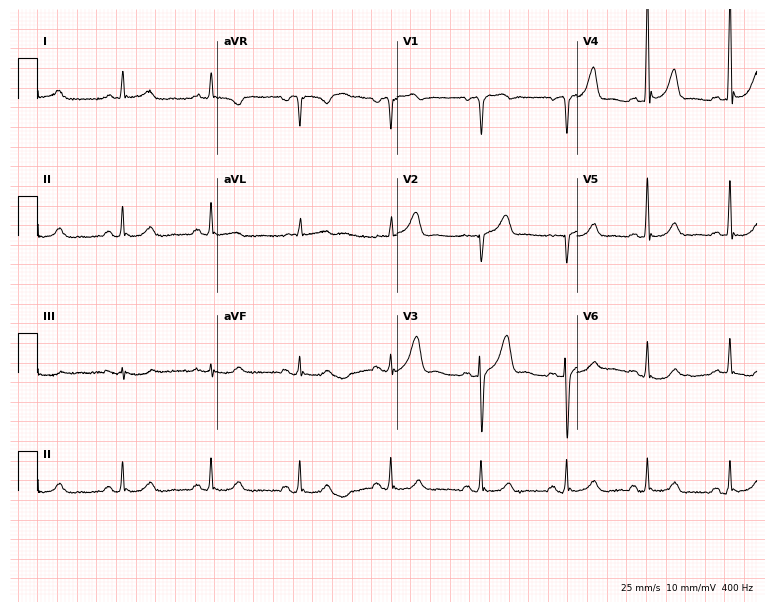
ECG (7.3-second recording at 400 Hz) — a 53-year-old male patient. Labelled as a normal ECG.